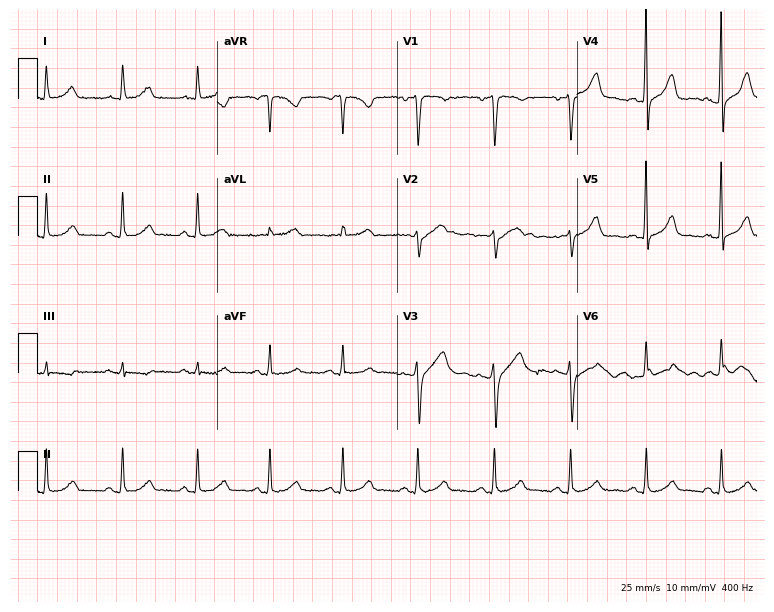
12-lead ECG from a 49-year-old female. No first-degree AV block, right bundle branch block, left bundle branch block, sinus bradycardia, atrial fibrillation or sinus tachycardia recorded for this tracing. Only these six findings were labelled.